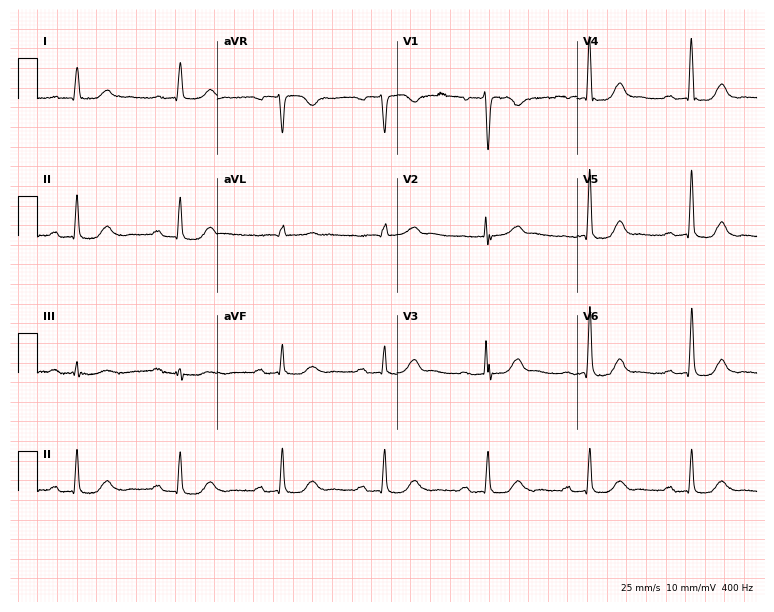
12-lead ECG from a 70-year-old female. Recorded interpretation: within normal limits.